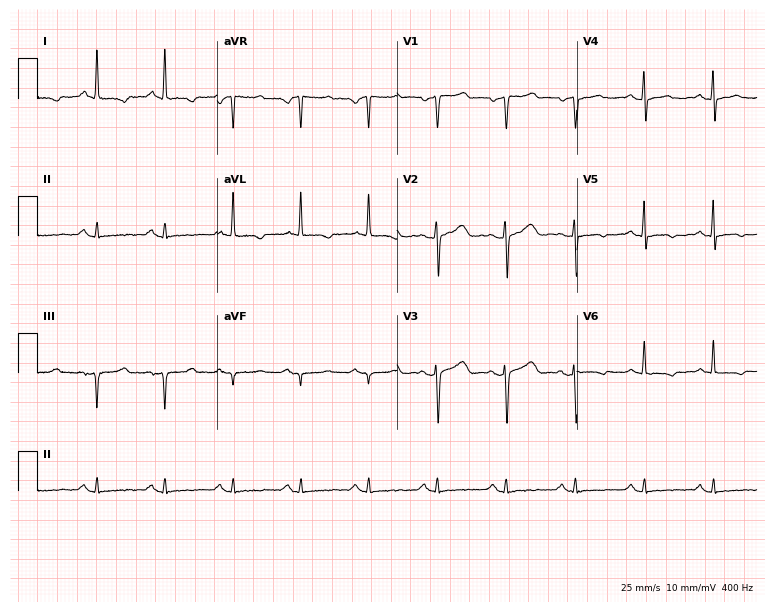
Standard 12-lead ECG recorded from a 59-year-old woman. None of these six findings is recorded: first-degree AV block, right bundle branch block (RBBB), left bundle branch block (LBBB), sinus bradycardia, atrial fibrillation (AF), sinus tachycardia. Findings outside these six are not listed.